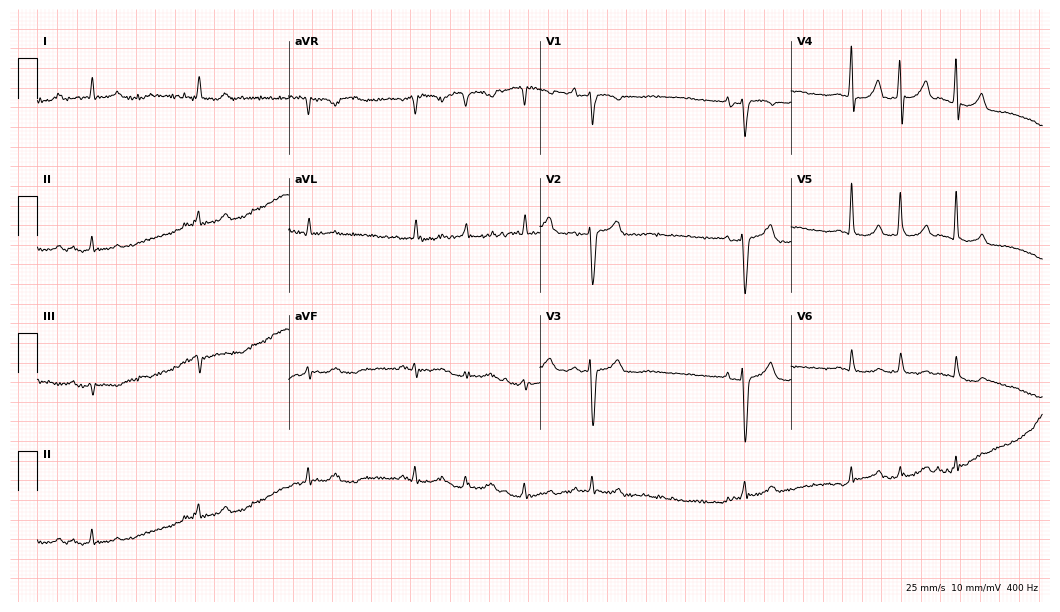
12-lead ECG from an 81-year-old female. Recorded interpretation: within normal limits.